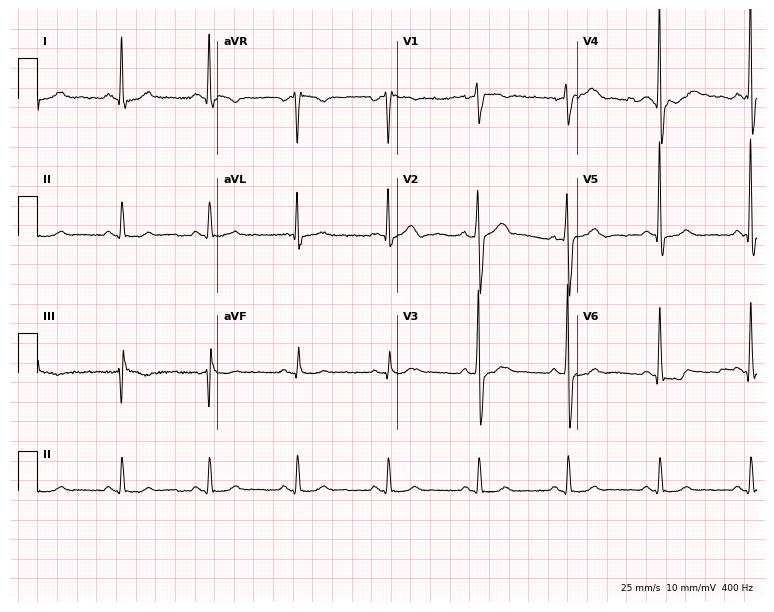
Resting 12-lead electrocardiogram. Patient: a male, 38 years old. Read as a normal ECG.